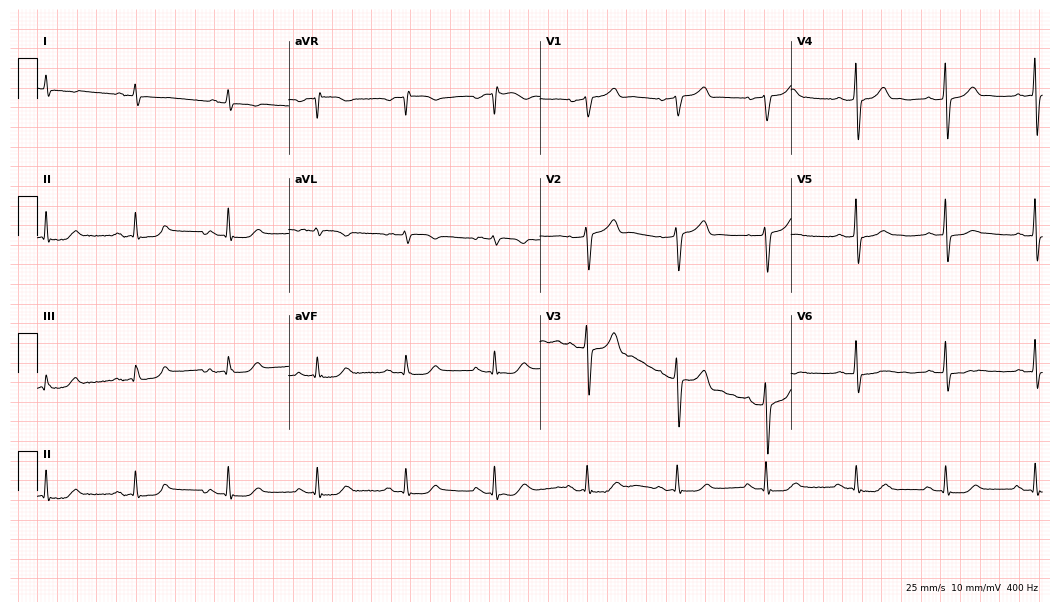
Electrocardiogram, a male patient, 79 years old. Of the six screened findings (first-degree AV block, right bundle branch block, left bundle branch block, sinus bradycardia, atrial fibrillation, sinus tachycardia), none is recorded.